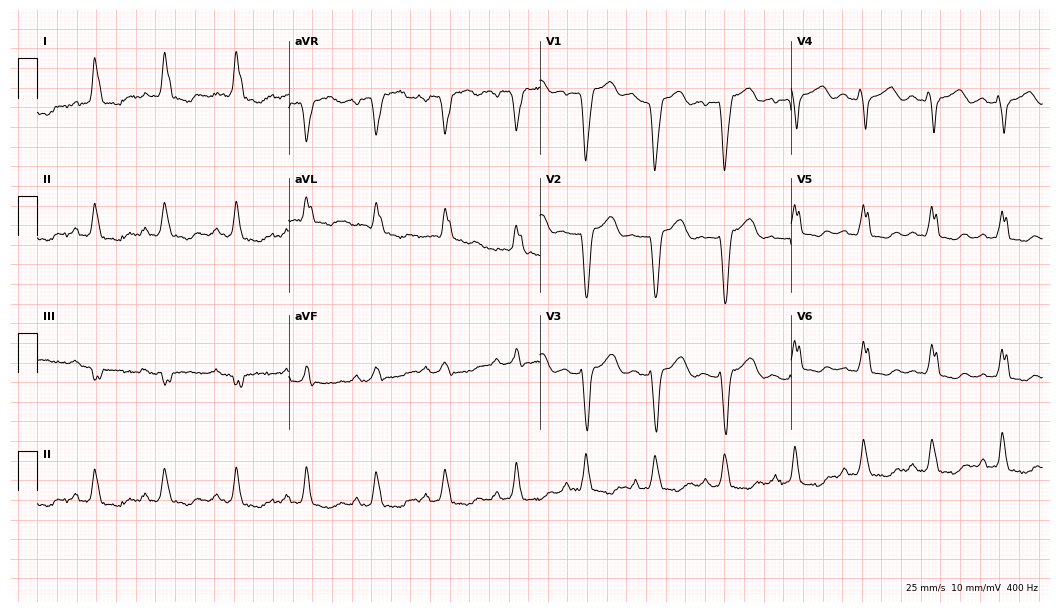
12-lead ECG from a 66-year-old female patient (10.2-second recording at 400 Hz). Shows left bundle branch block.